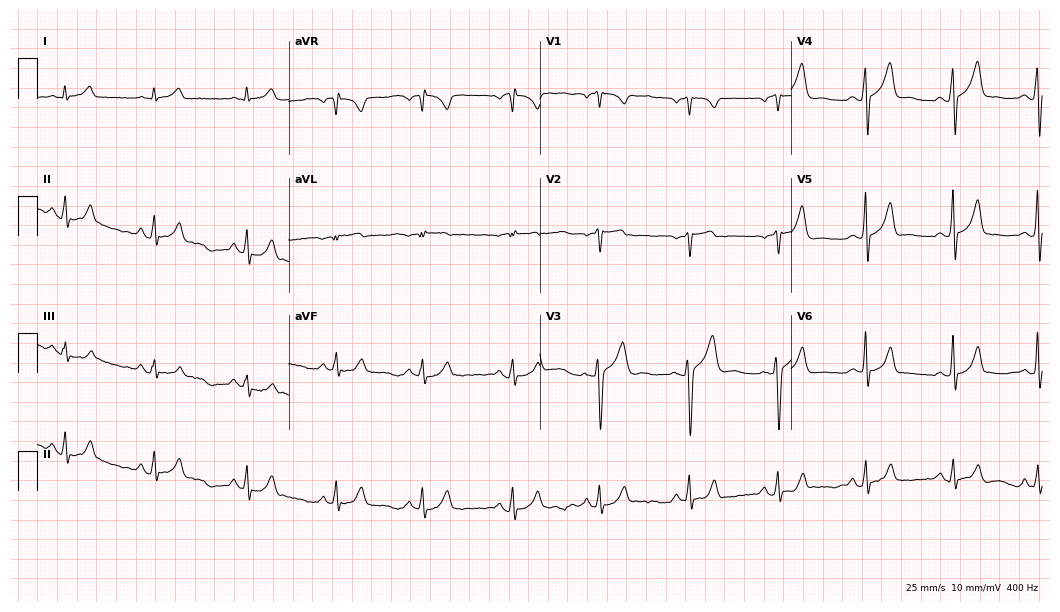
Resting 12-lead electrocardiogram. Patient: a male, 55 years old. Read as a normal ECG.